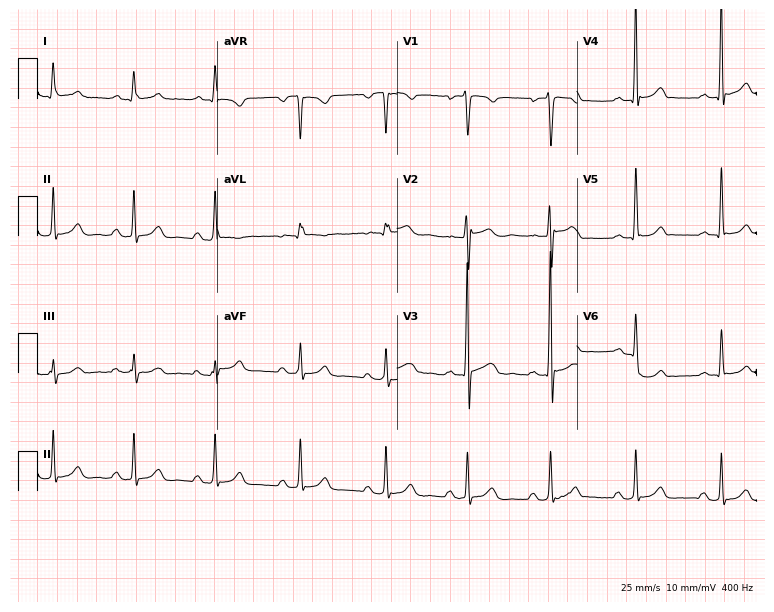
ECG (7.3-second recording at 400 Hz) — a 22-year-old man. Screened for six findings — first-degree AV block, right bundle branch block (RBBB), left bundle branch block (LBBB), sinus bradycardia, atrial fibrillation (AF), sinus tachycardia — none is recorded. Only these six findings were labelled.